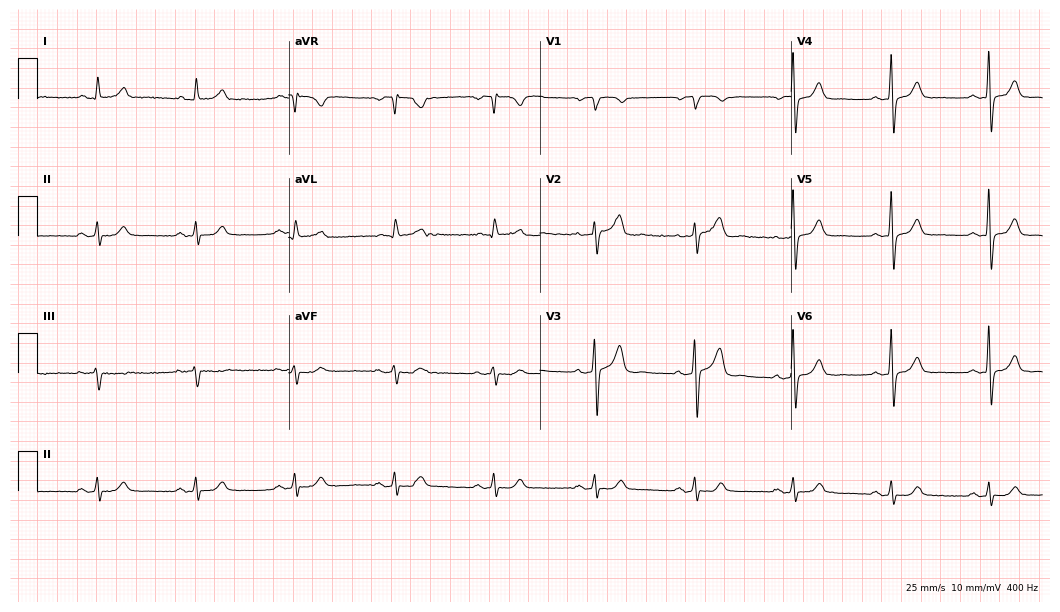
Resting 12-lead electrocardiogram (10.2-second recording at 400 Hz). Patient: a male, 69 years old. Read as a normal ECG.